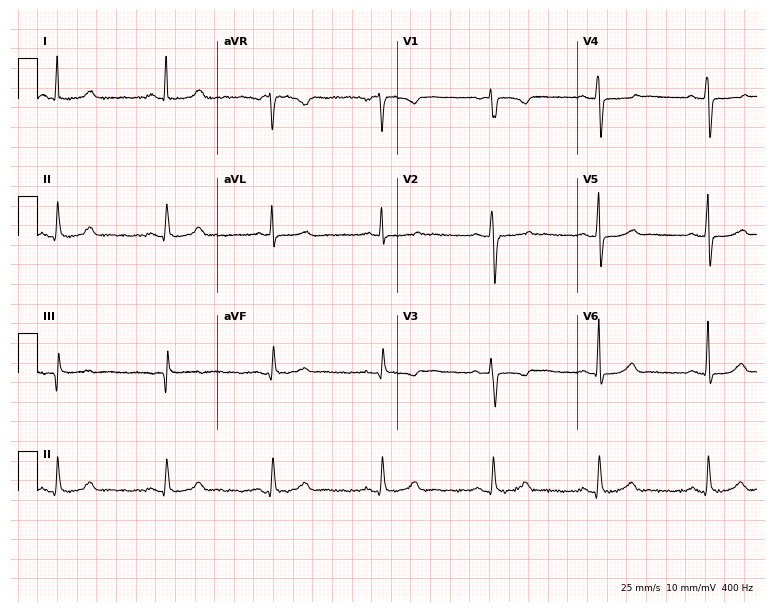
Electrocardiogram, a woman, 52 years old. Of the six screened findings (first-degree AV block, right bundle branch block, left bundle branch block, sinus bradycardia, atrial fibrillation, sinus tachycardia), none is recorded.